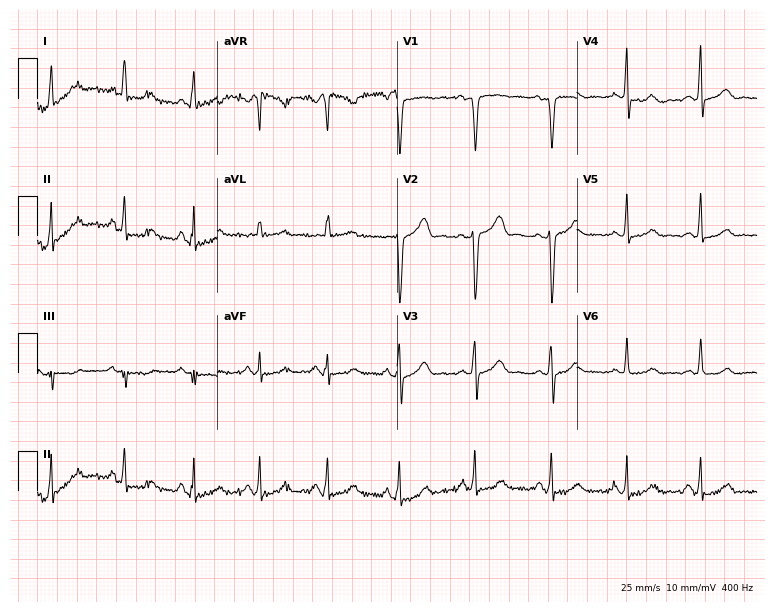
12-lead ECG from a female, 51 years old (7.3-second recording at 400 Hz). Recorded interpretation: within normal limits.